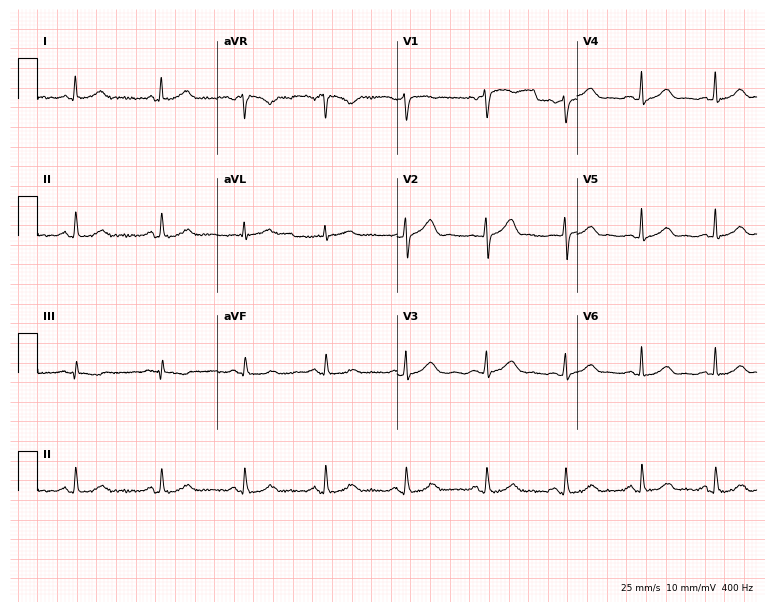
12-lead ECG from a man, 53 years old (7.3-second recording at 400 Hz). Recorded interpretation: within normal limits.